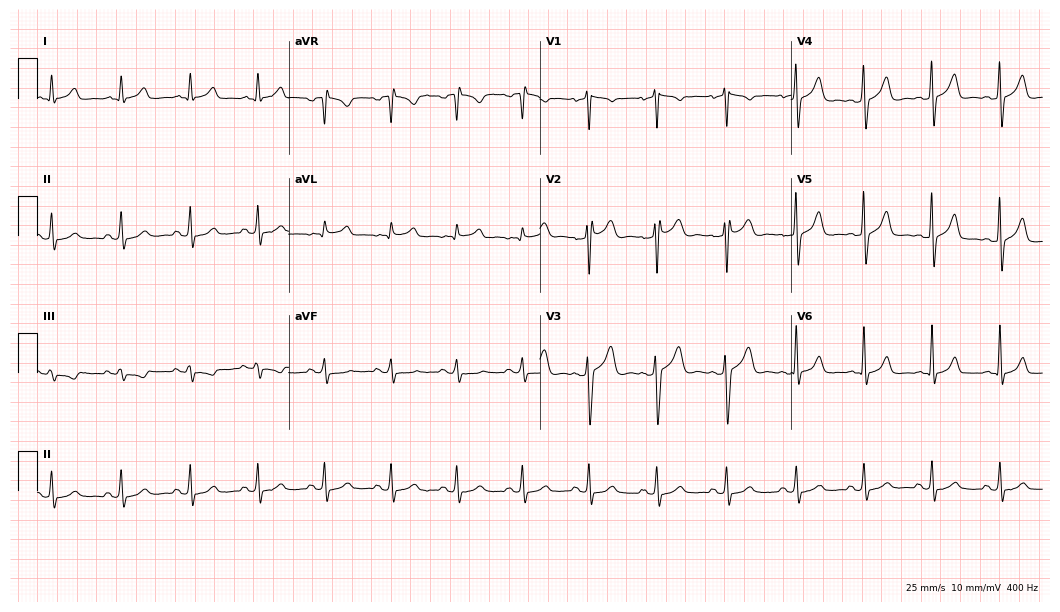
Standard 12-lead ECG recorded from a 40-year-old woman. Read as a normal ECG.